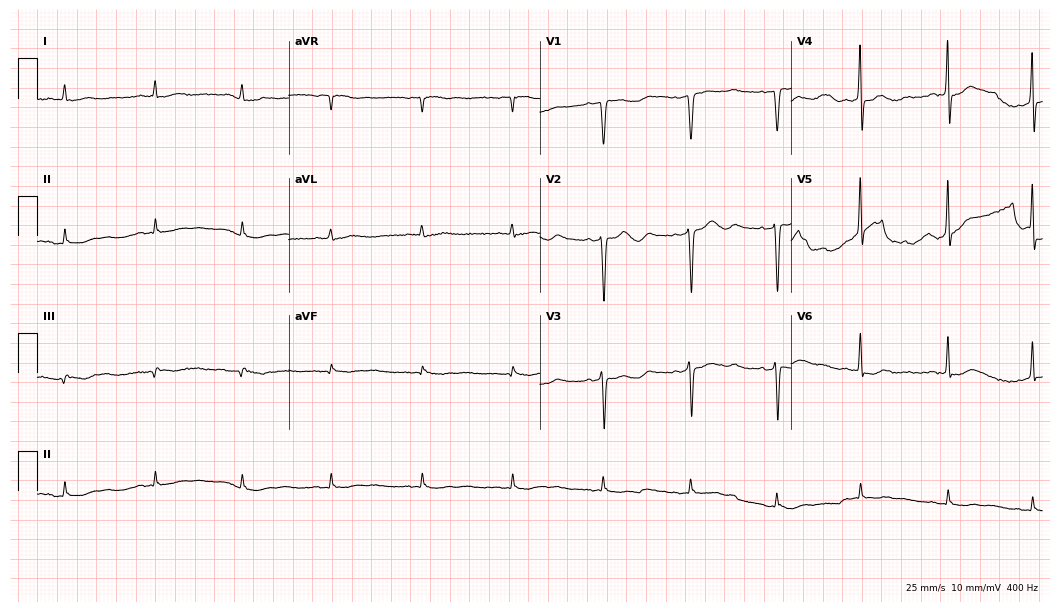
12-lead ECG from a woman, 72 years old. Screened for six findings — first-degree AV block, right bundle branch block (RBBB), left bundle branch block (LBBB), sinus bradycardia, atrial fibrillation (AF), sinus tachycardia — none is recorded. Other findings, if any, are not listed.